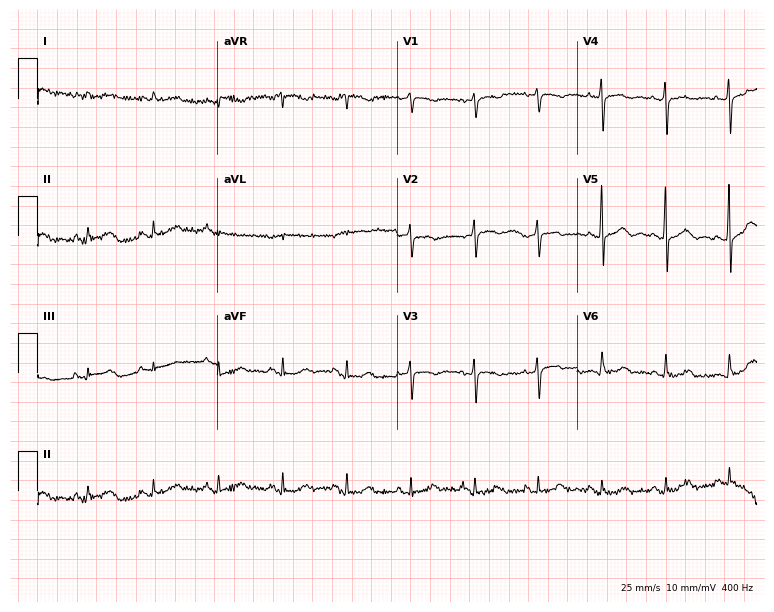
Resting 12-lead electrocardiogram (7.3-second recording at 400 Hz). Patient: a 68-year-old female. None of these six findings is recorded: first-degree AV block, right bundle branch block (RBBB), left bundle branch block (LBBB), sinus bradycardia, atrial fibrillation (AF), sinus tachycardia.